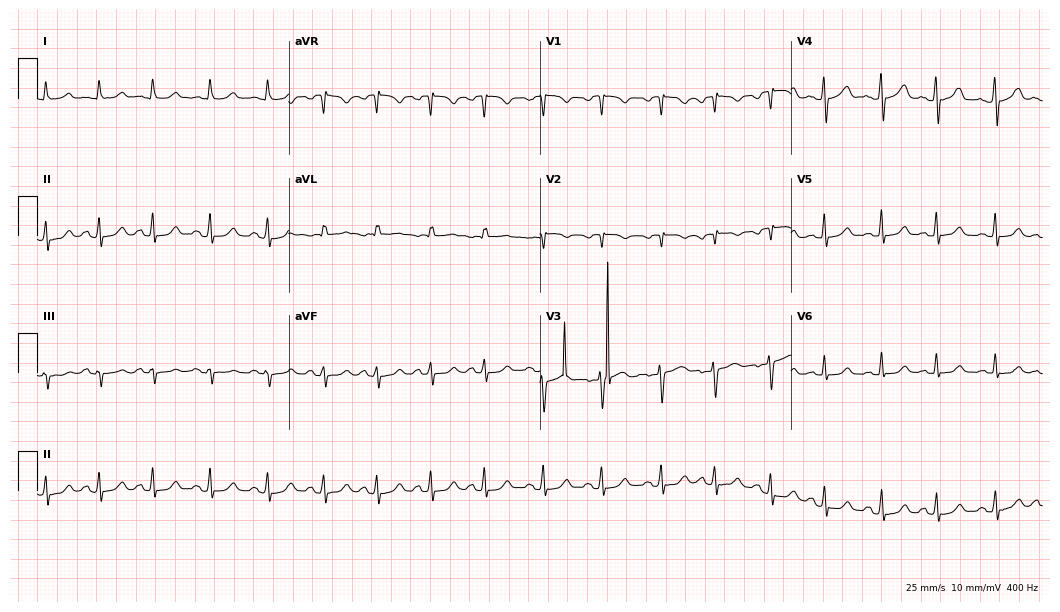
Standard 12-lead ECG recorded from a 54-year-old female patient. The tracing shows sinus tachycardia (a sinus rate of 100 beats per minute or more).